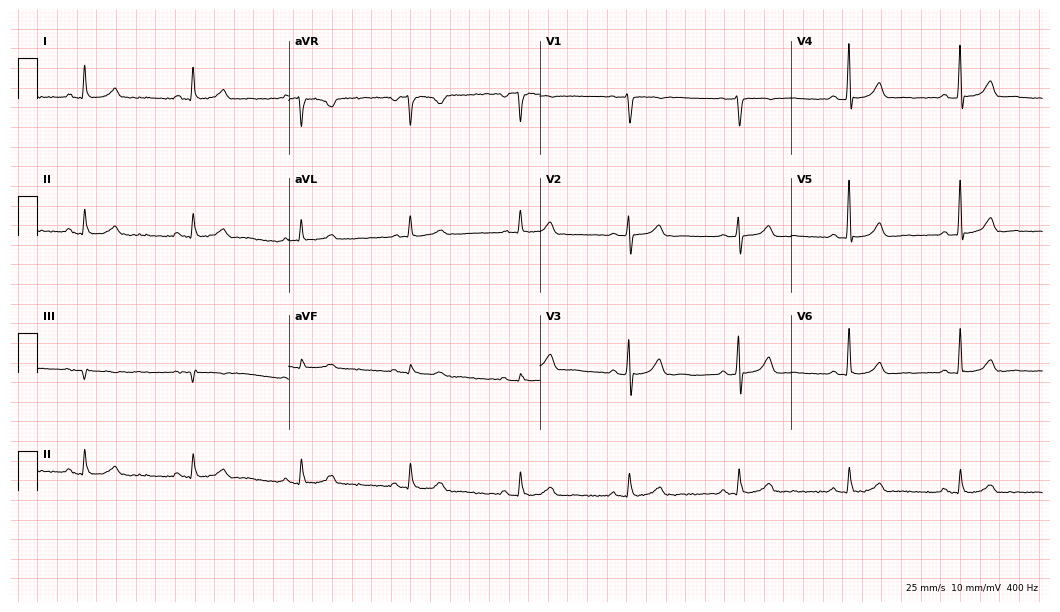
ECG (10.2-second recording at 400 Hz) — a 69-year-old male. Screened for six findings — first-degree AV block, right bundle branch block (RBBB), left bundle branch block (LBBB), sinus bradycardia, atrial fibrillation (AF), sinus tachycardia — none is recorded. Findings outside these six are not listed.